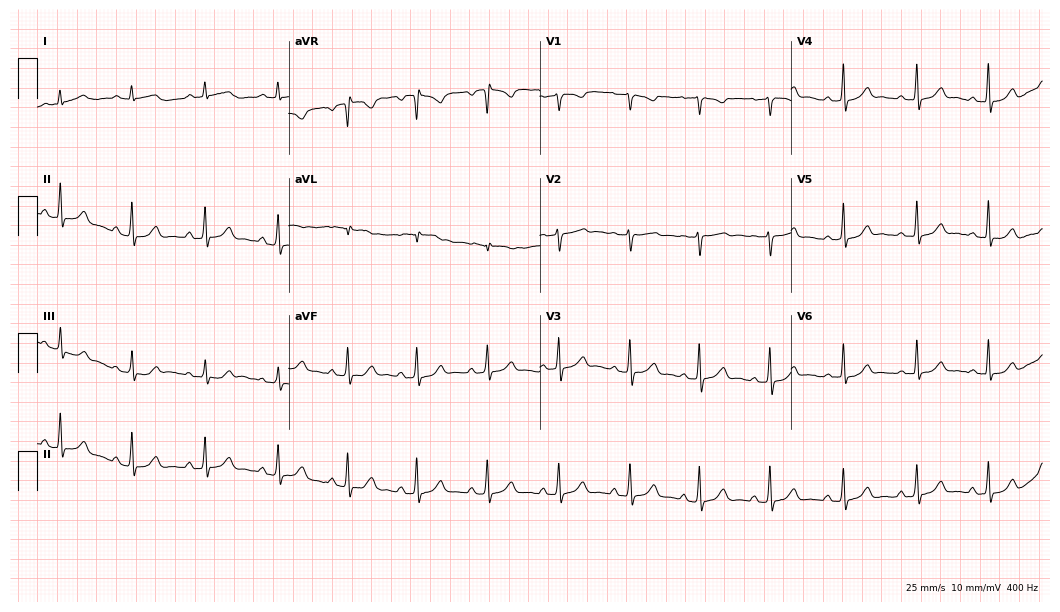
12-lead ECG from a female patient, 39 years old (10.2-second recording at 400 Hz). Recorded interpretation: within normal limits.